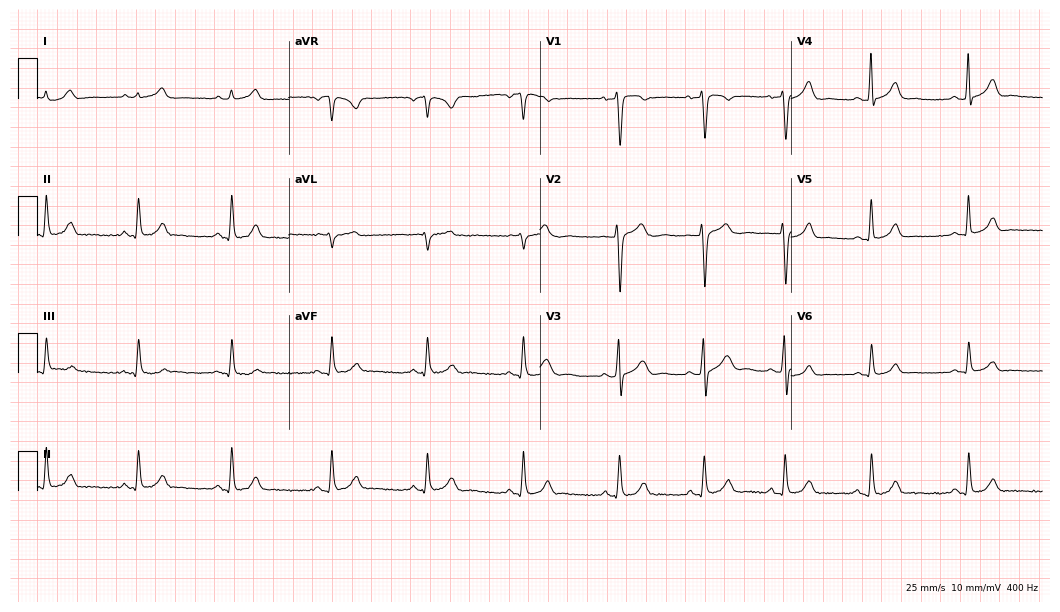
12-lead ECG from a 37-year-old man. Labelled as a normal ECG.